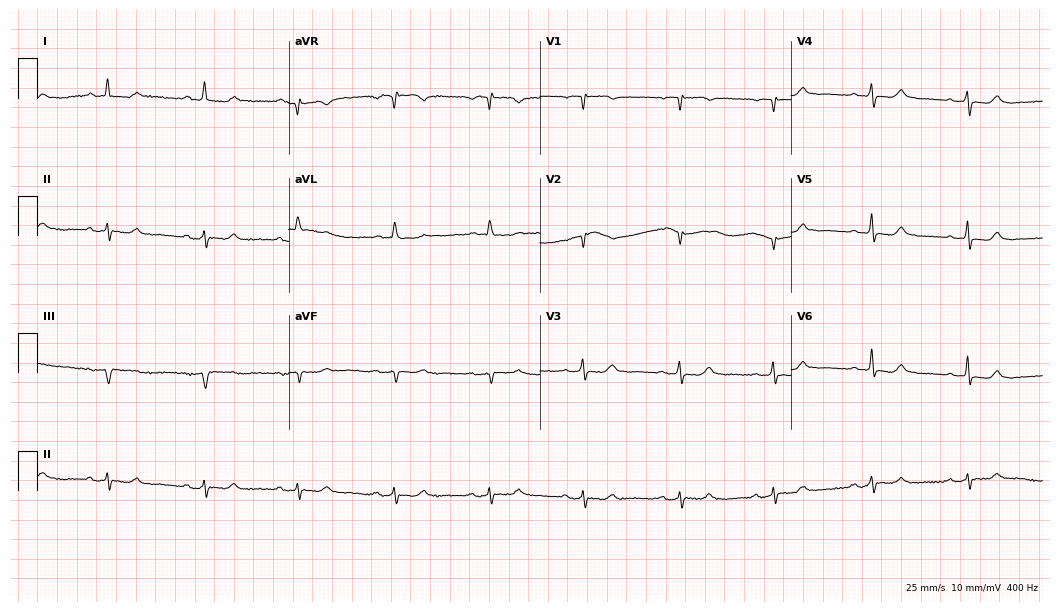
Resting 12-lead electrocardiogram. Patient: an 84-year-old female. Read as a normal ECG.